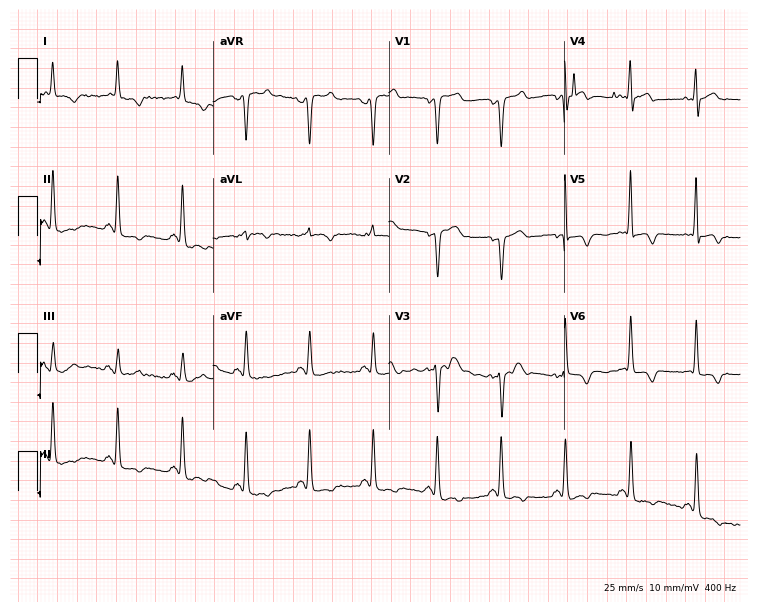
Standard 12-lead ECG recorded from a male patient, 46 years old. Read as a normal ECG.